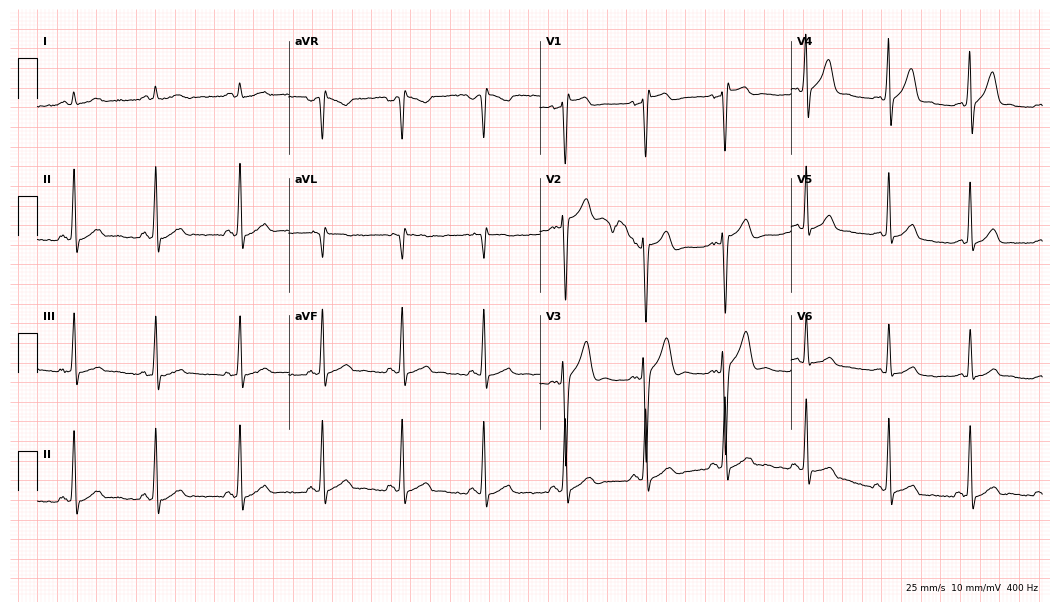
Electrocardiogram (10.2-second recording at 400 Hz), a male patient, 37 years old. Of the six screened findings (first-degree AV block, right bundle branch block, left bundle branch block, sinus bradycardia, atrial fibrillation, sinus tachycardia), none is recorded. Findings outside these six are not listed.